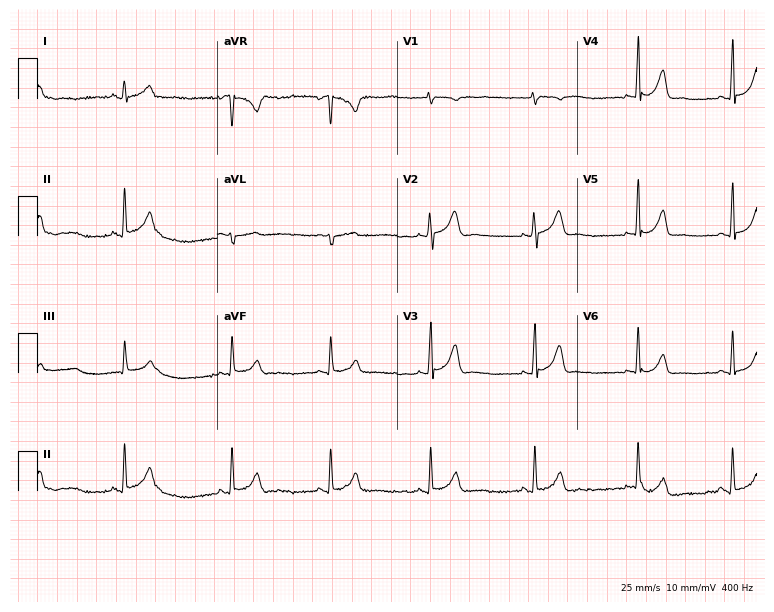
12-lead ECG from a female patient, 24 years old (7.3-second recording at 400 Hz). No first-degree AV block, right bundle branch block (RBBB), left bundle branch block (LBBB), sinus bradycardia, atrial fibrillation (AF) or sinus tachycardia recorded for this tracing.